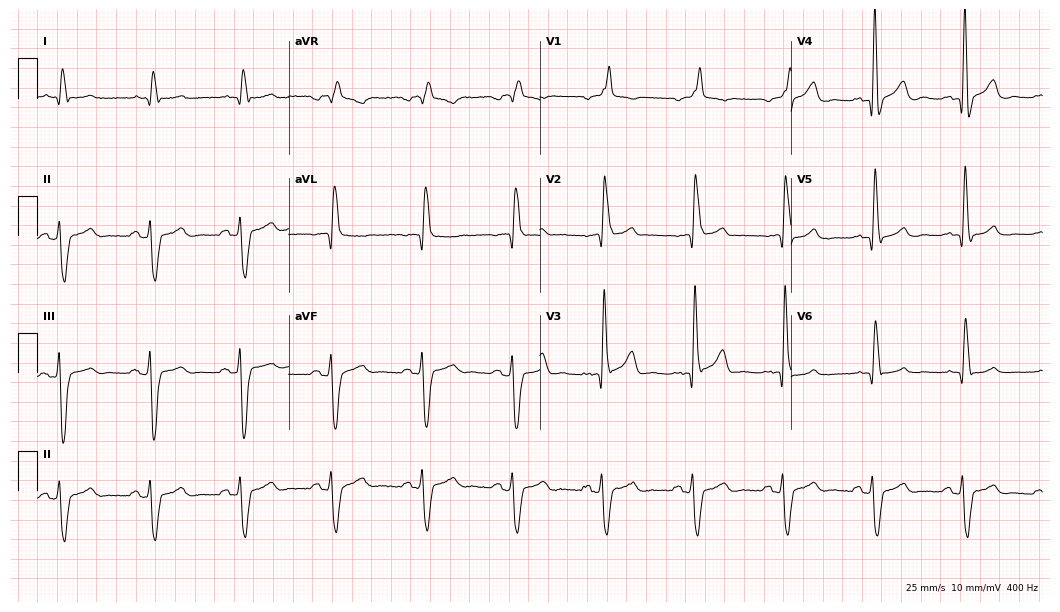
12-lead ECG from a 73-year-old male patient. Shows right bundle branch block (RBBB).